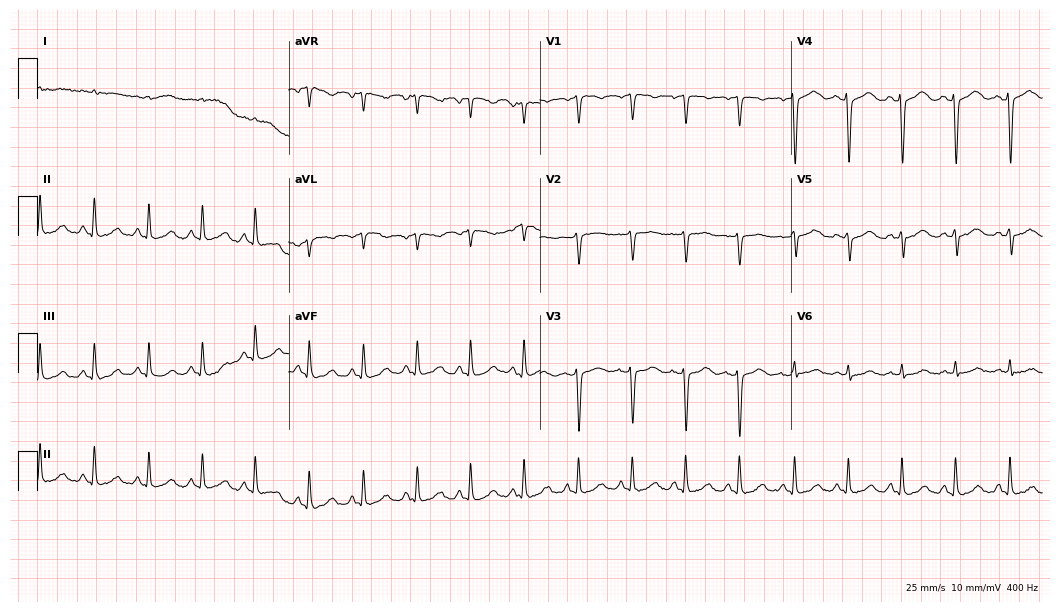
Electrocardiogram, a 61-year-old woman. Of the six screened findings (first-degree AV block, right bundle branch block, left bundle branch block, sinus bradycardia, atrial fibrillation, sinus tachycardia), none is recorded. Only these six findings were labelled.